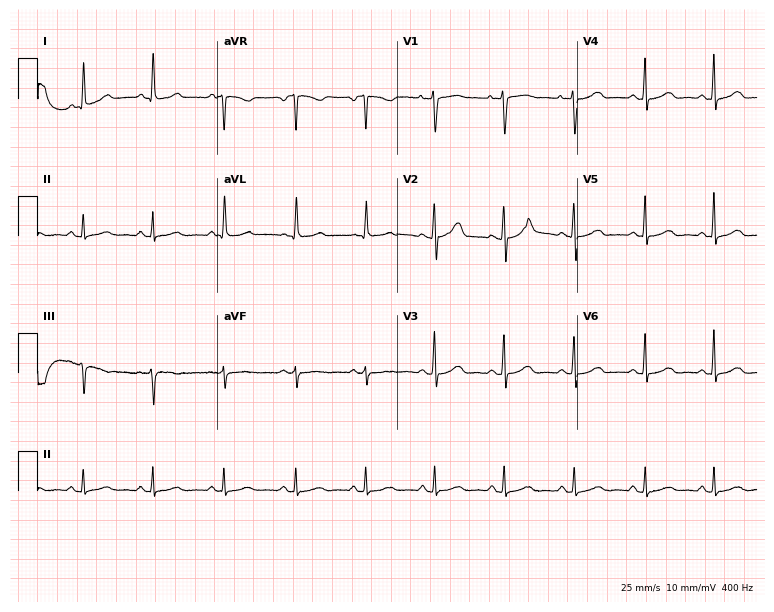
12-lead ECG from a 33-year-old female patient. No first-degree AV block, right bundle branch block, left bundle branch block, sinus bradycardia, atrial fibrillation or sinus tachycardia recorded for this tracing. Only these six findings were labelled.